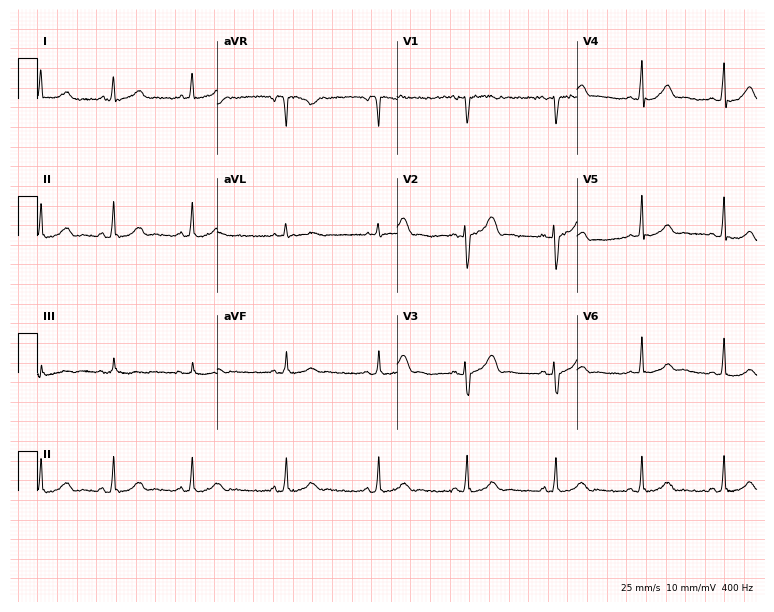
12-lead ECG (7.3-second recording at 400 Hz) from a female, 40 years old. Screened for six findings — first-degree AV block, right bundle branch block, left bundle branch block, sinus bradycardia, atrial fibrillation, sinus tachycardia — none is recorded. Only these six findings were labelled.